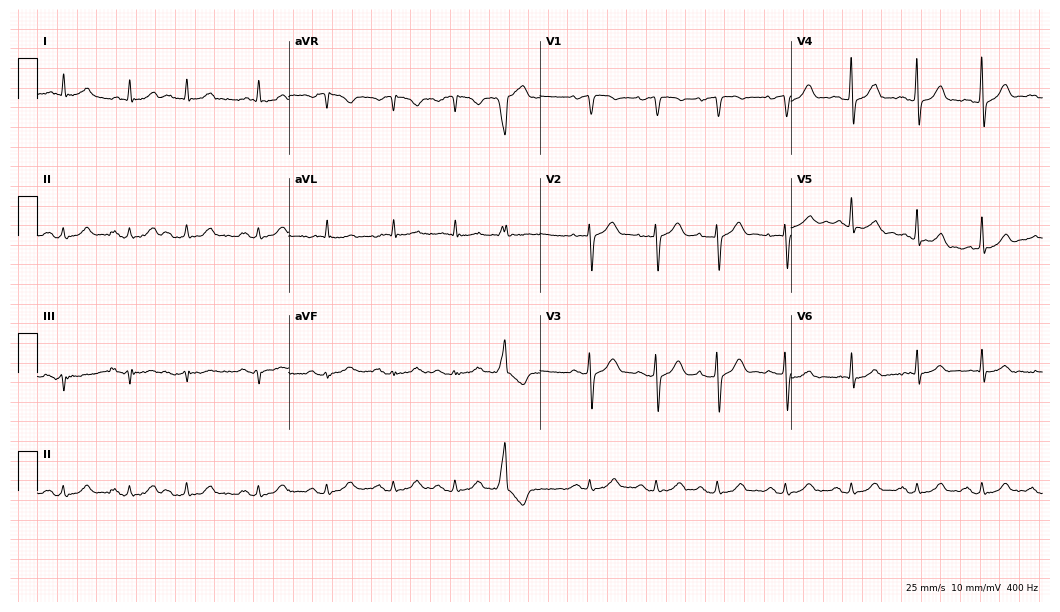
ECG (10.2-second recording at 400 Hz) — a male patient, 85 years old. Labelled as a normal ECG.